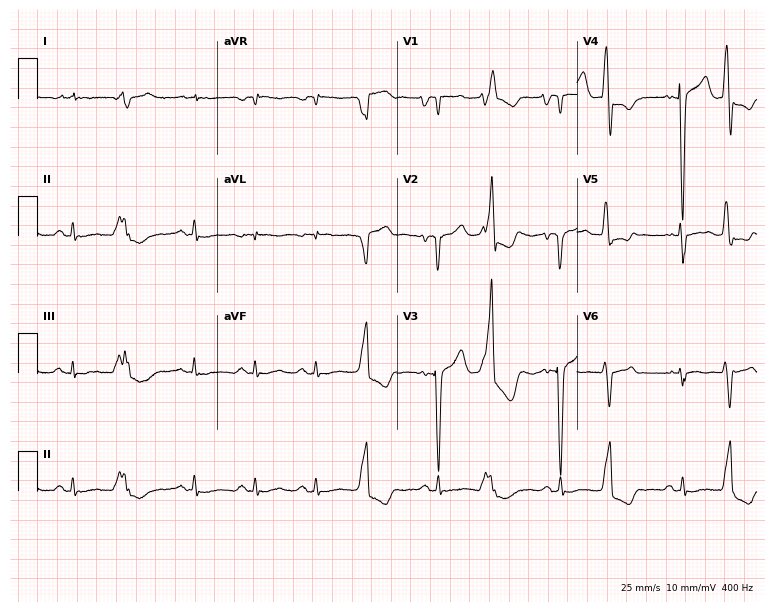
Standard 12-lead ECG recorded from a 66-year-old man. None of these six findings is recorded: first-degree AV block, right bundle branch block, left bundle branch block, sinus bradycardia, atrial fibrillation, sinus tachycardia.